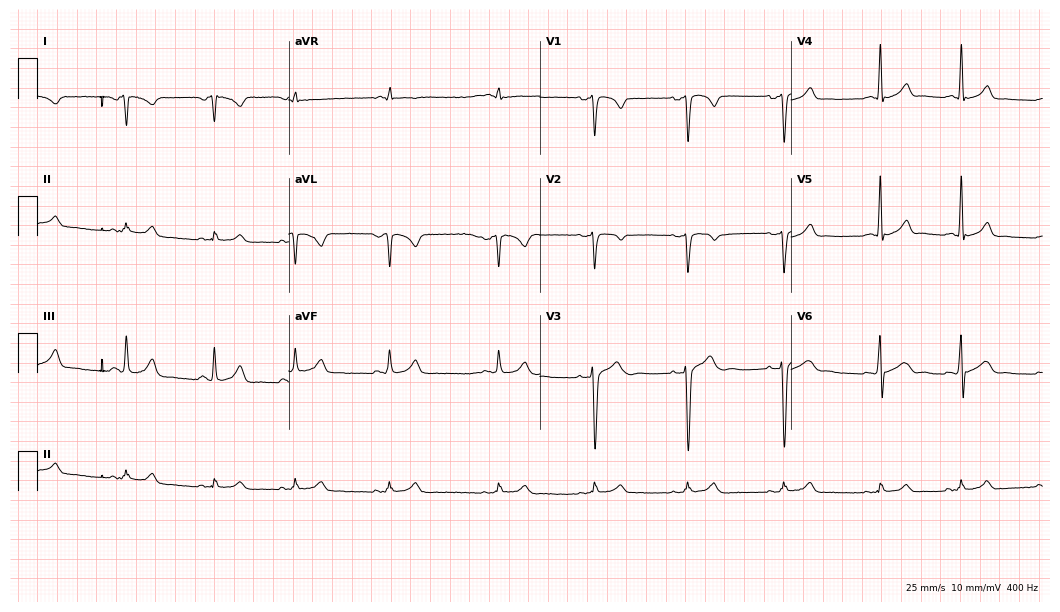
12-lead ECG from a male, 28 years old. Screened for six findings — first-degree AV block, right bundle branch block, left bundle branch block, sinus bradycardia, atrial fibrillation, sinus tachycardia — none is recorded.